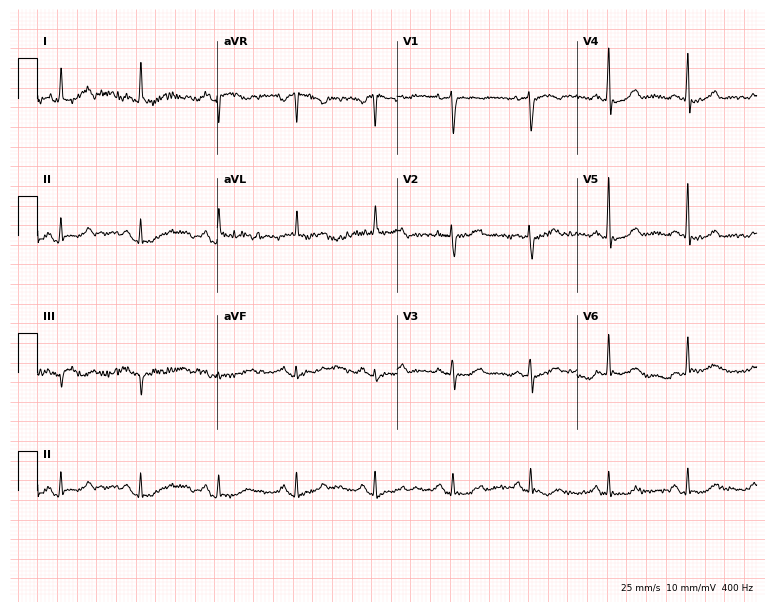
Standard 12-lead ECG recorded from a 68-year-old female. None of these six findings is recorded: first-degree AV block, right bundle branch block, left bundle branch block, sinus bradycardia, atrial fibrillation, sinus tachycardia. Other findings, if any, are not listed.